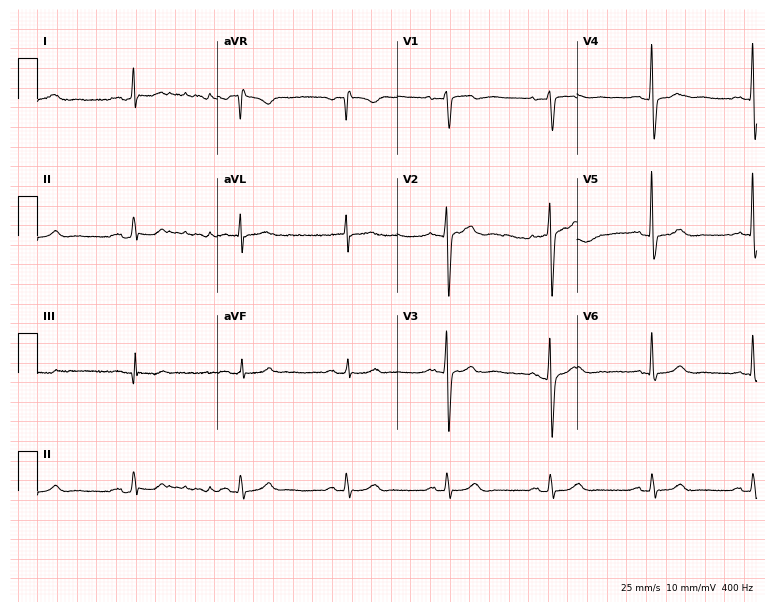
Standard 12-lead ECG recorded from a 68-year-old male patient (7.3-second recording at 400 Hz). None of these six findings is recorded: first-degree AV block, right bundle branch block (RBBB), left bundle branch block (LBBB), sinus bradycardia, atrial fibrillation (AF), sinus tachycardia.